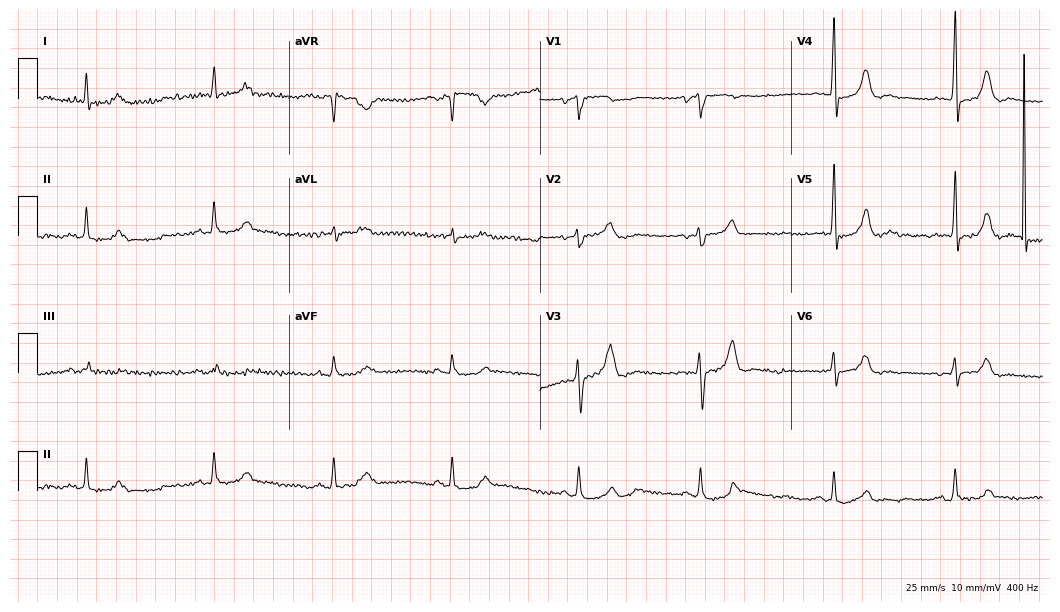
12-lead ECG from a 79-year-old man (10.2-second recording at 400 Hz). No first-degree AV block, right bundle branch block, left bundle branch block, sinus bradycardia, atrial fibrillation or sinus tachycardia recorded for this tracing.